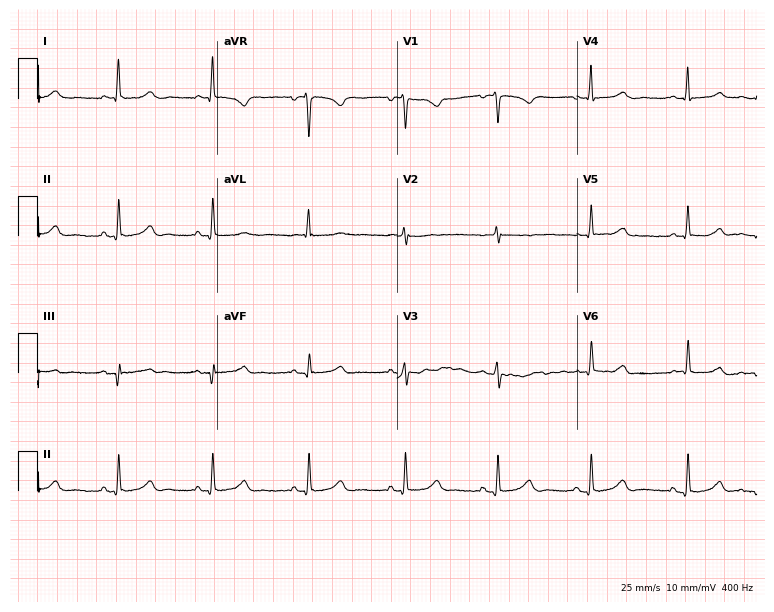
12-lead ECG (7.3-second recording at 400 Hz) from a female patient, 45 years old. Screened for six findings — first-degree AV block, right bundle branch block (RBBB), left bundle branch block (LBBB), sinus bradycardia, atrial fibrillation (AF), sinus tachycardia — none is recorded. Findings outside these six are not listed.